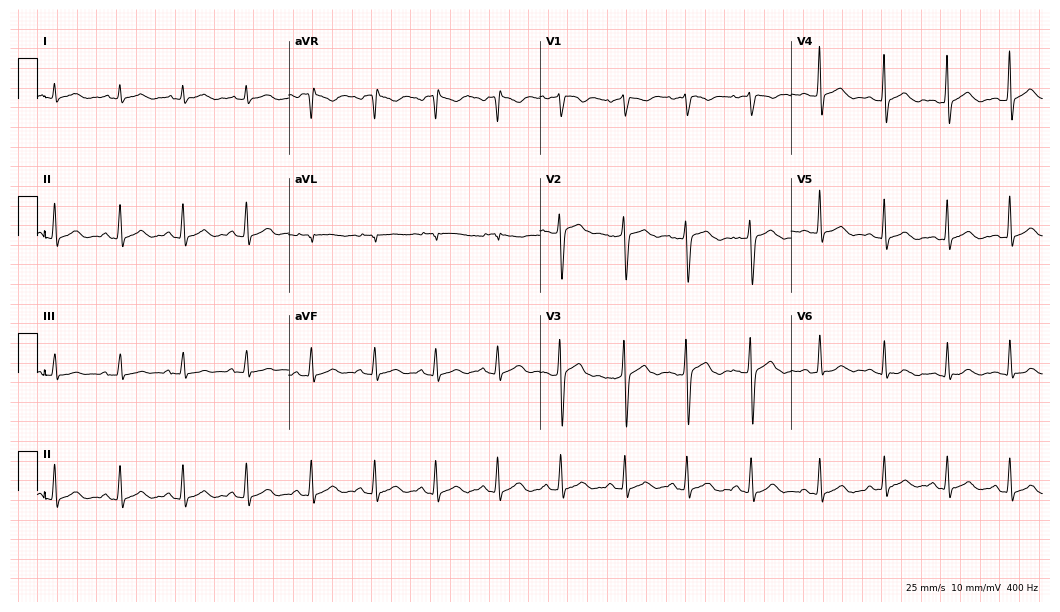
12-lead ECG from a female, 19 years old (10.2-second recording at 400 Hz). No first-degree AV block, right bundle branch block, left bundle branch block, sinus bradycardia, atrial fibrillation or sinus tachycardia recorded for this tracing.